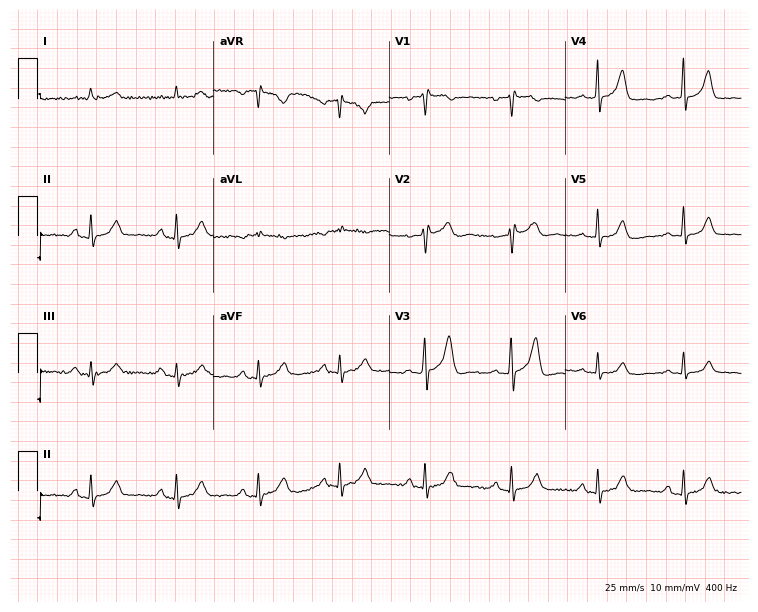
Electrocardiogram, a male patient, 49 years old. Overall reading on record: normal ECG.